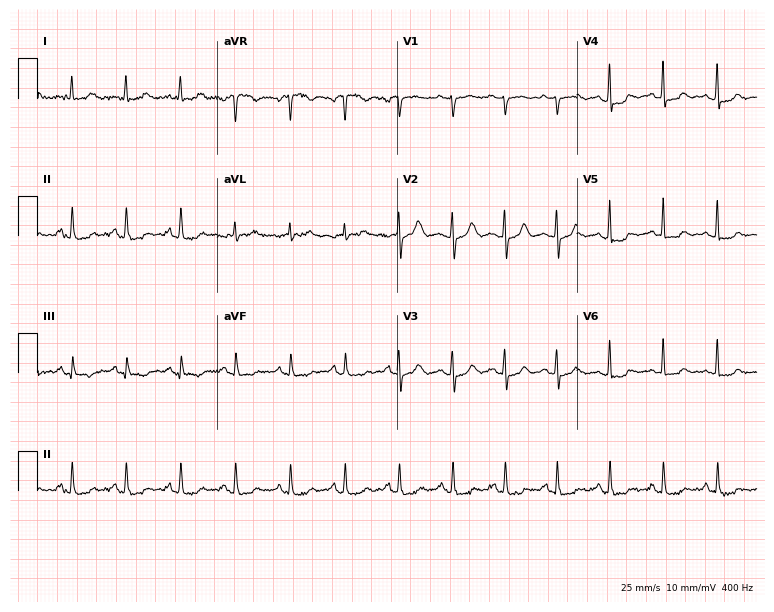
Resting 12-lead electrocardiogram (7.3-second recording at 400 Hz). Patient: a 59-year-old female. The tracing shows sinus tachycardia (a sinus rate of 100 beats per minute or more).